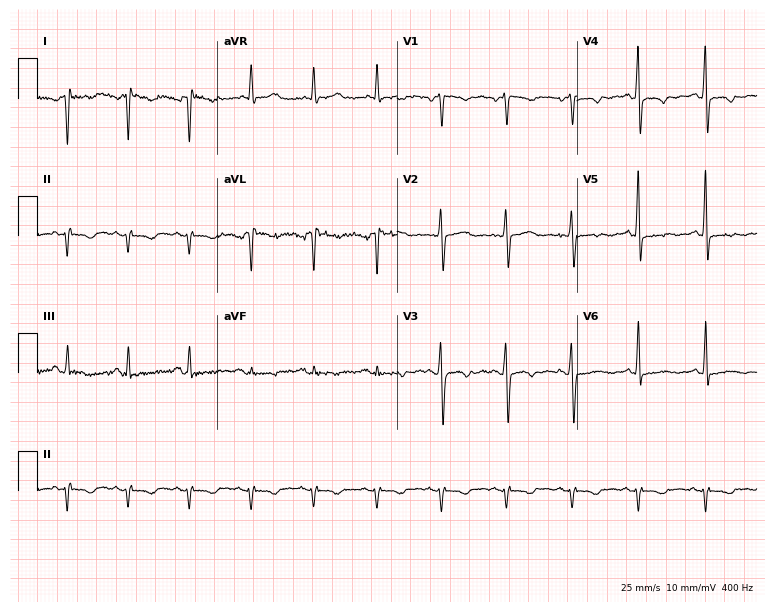
Standard 12-lead ECG recorded from a 51-year-old female. None of these six findings is recorded: first-degree AV block, right bundle branch block (RBBB), left bundle branch block (LBBB), sinus bradycardia, atrial fibrillation (AF), sinus tachycardia.